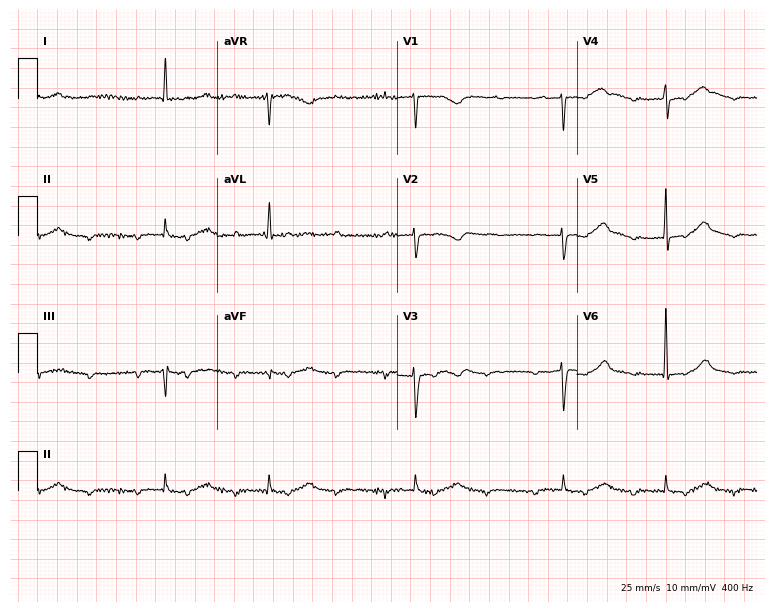
12-lead ECG from a woman, 83 years old (7.3-second recording at 400 Hz). Shows atrial fibrillation.